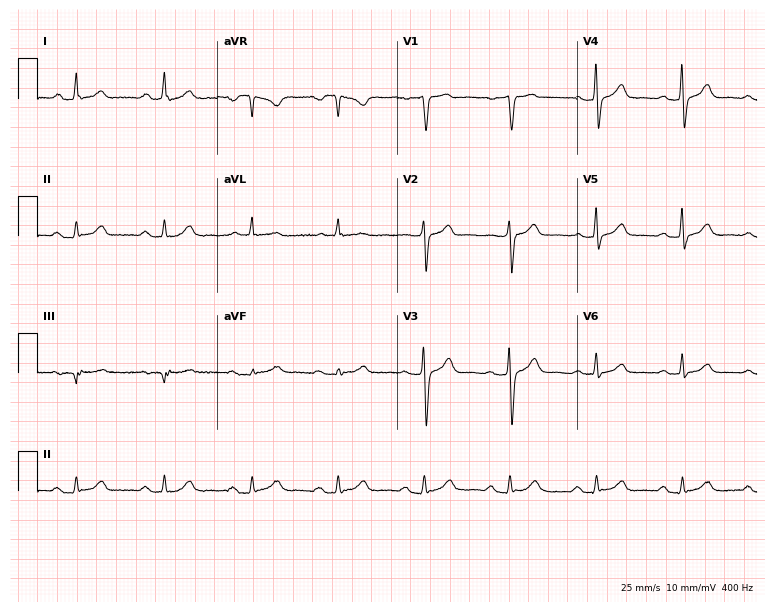
12-lead ECG from a 61-year-old female. Shows first-degree AV block.